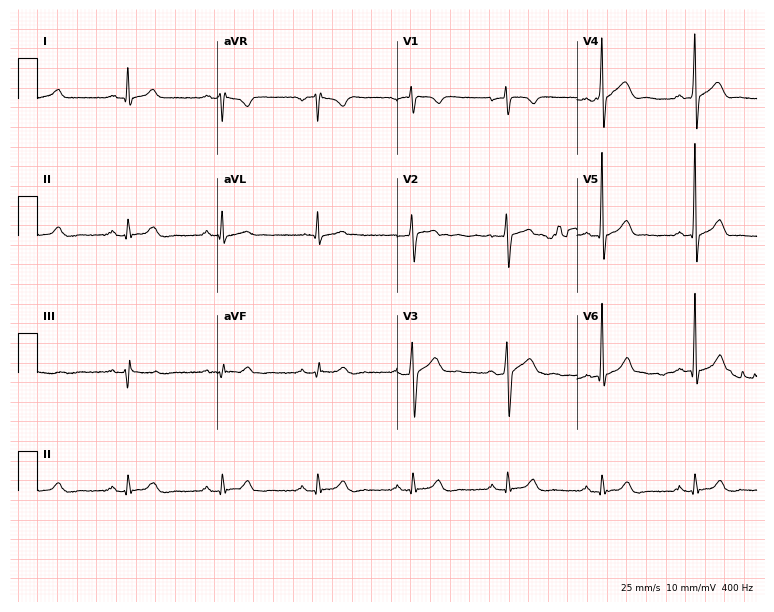
ECG — a male patient, 33 years old. Labelled as a normal ECG.